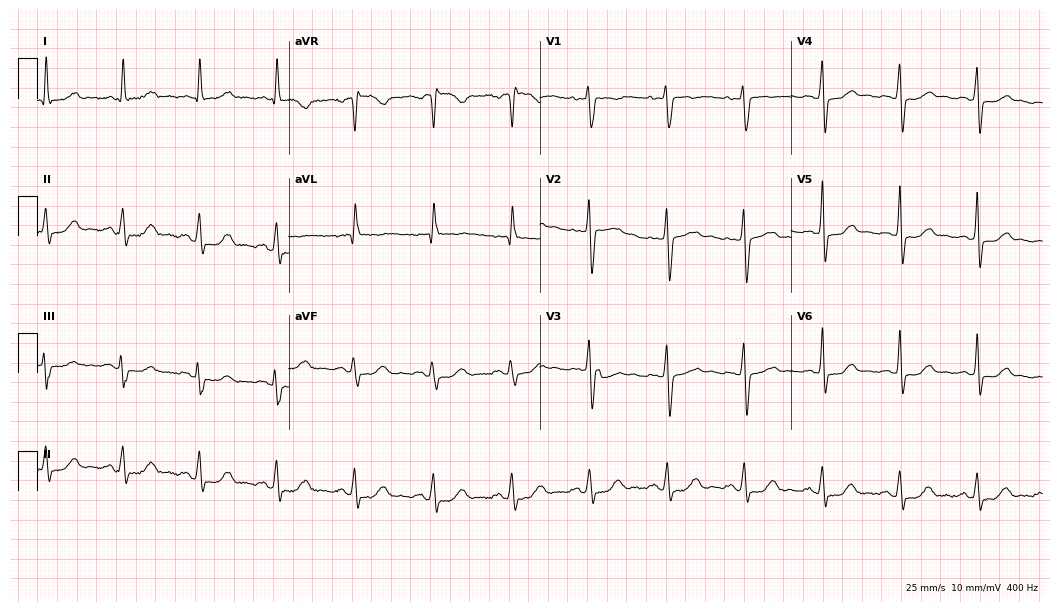
Electrocardiogram, a female patient, 47 years old. Of the six screened findings (first-degree AV block, right bundle branch block, left bundle branch block, sinus bradycardia, atrial fibrillation, sinus tachycardia), none is recorded. Only these six findings were labelled.